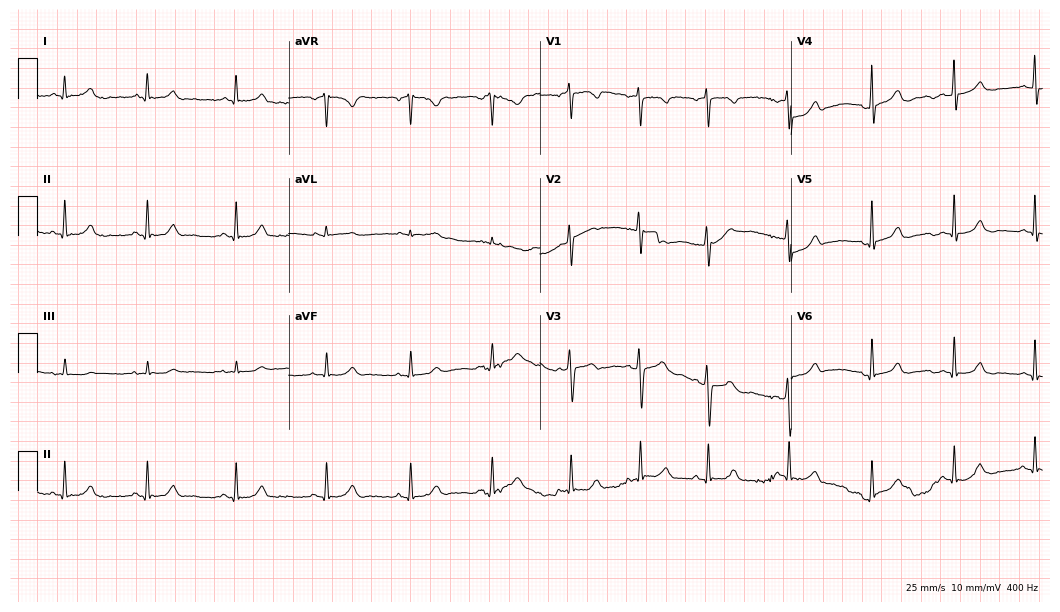
Standard 12-lead ECG recorded from a 20-year-old woman (10.2-second recording at 400 Hz). Read as a normal ECG.